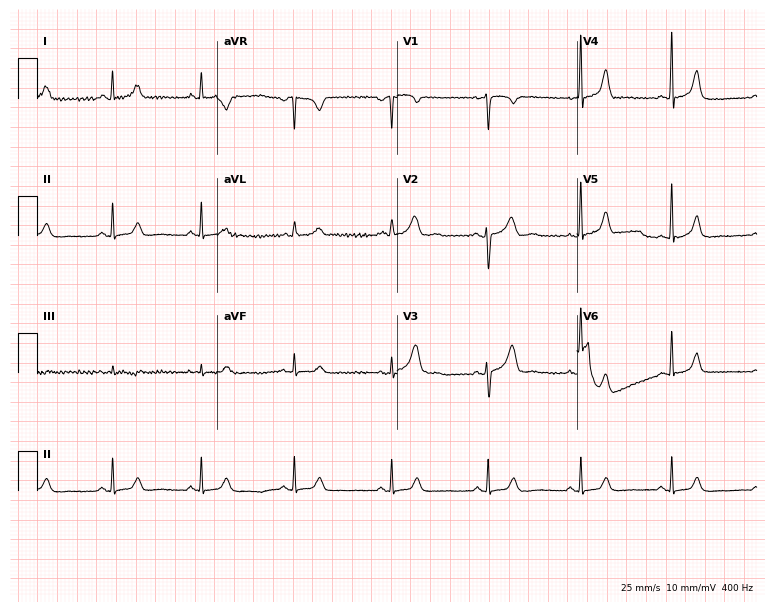
Resting 12-lead electrocardiogram (7.3-second recording at 400 Hz). Patient: a female, 28 years old. None of these six findings is recorded: first-degree AV block, right bundle branch block (RBBB), left bundle branch block (LBBB), sinus bradycardia, atrial fibrillation (AF), sinus tachycardia.